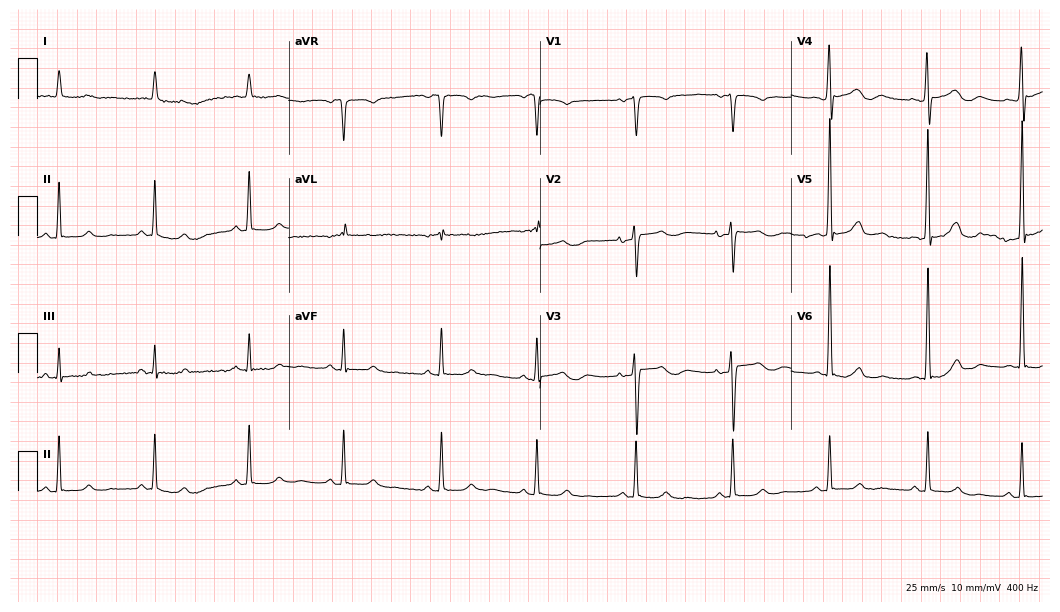
12-lead ECG from an 83-year-old woman. Labelled as a normal ECG.